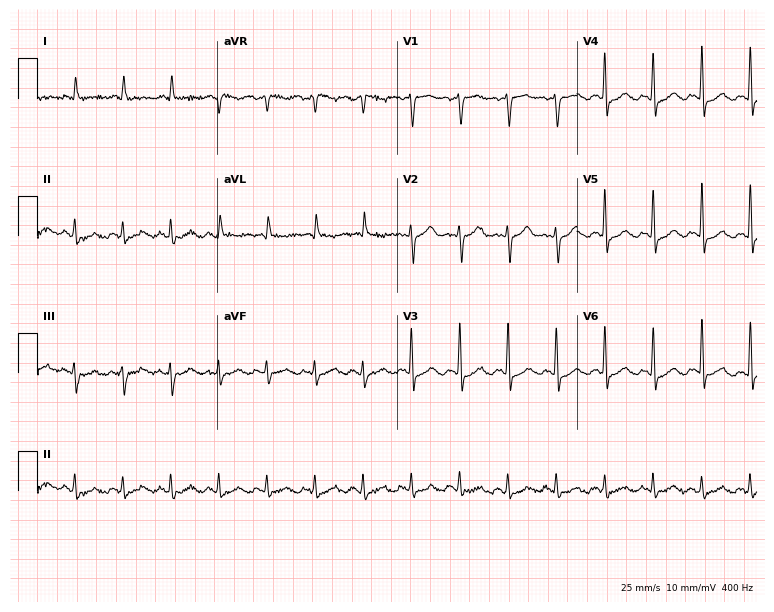
Standard 12-lead ECG recorded from a woman, 85 years old (7.3-second recording at 400 Hz). The tracing shows sinus tachycardia (a sinus rate of 100 beats per minute or more).